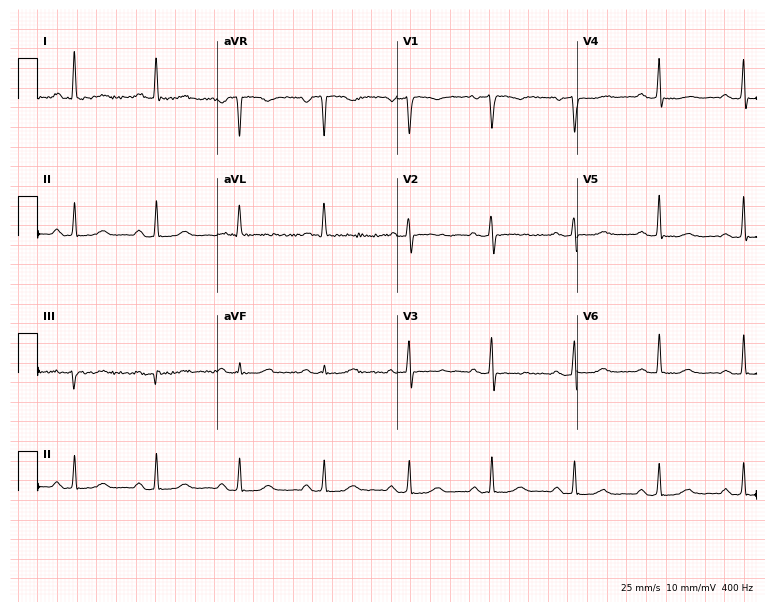
ECG — a 58-year-old female patient. Screened for six findings — first-degree AV block, right bundle branch block, left bundle branch block, sinus bradycardia, atrial fibrillation, sinus tachycardia — none is recorded.